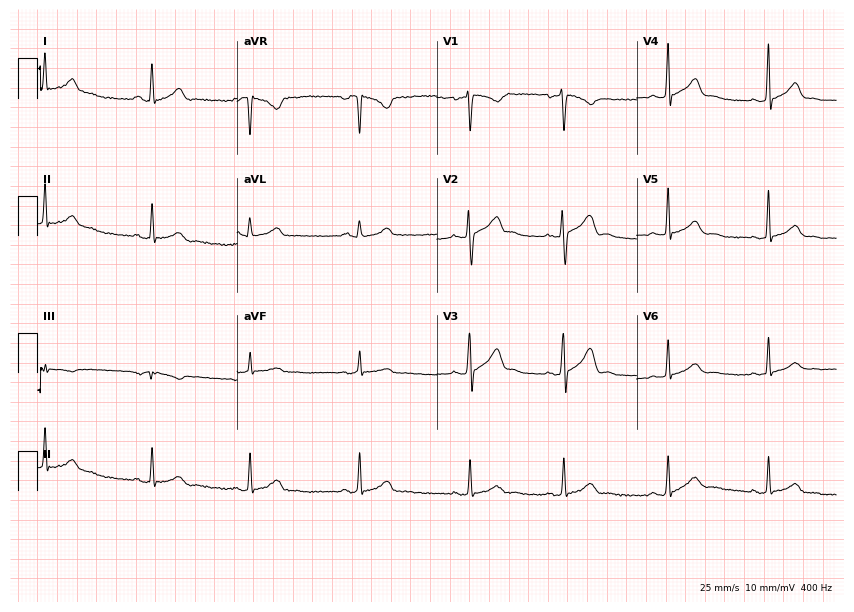
12-lead ECG from a 39-year-old female (8.1-second recording at 400 Hz). Recorded interpretation: within normal limits.